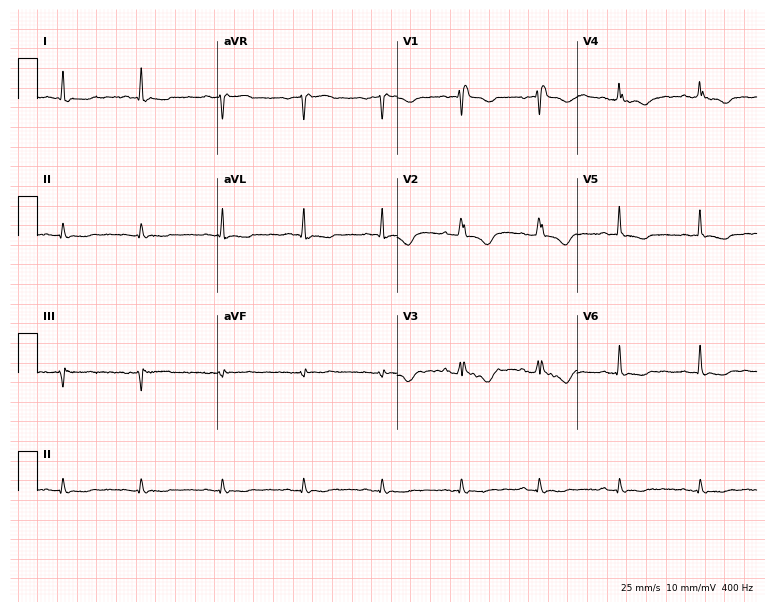
Electrocardiogram (7.3-second recording at 400 Hz), a male, 60 years old. Of the six screened findings (first-degree AV block, right bundle branch block, left bundle branch block, sinus bradycardia, atrial fibrillation, sinus tachycardia), none is recorded.